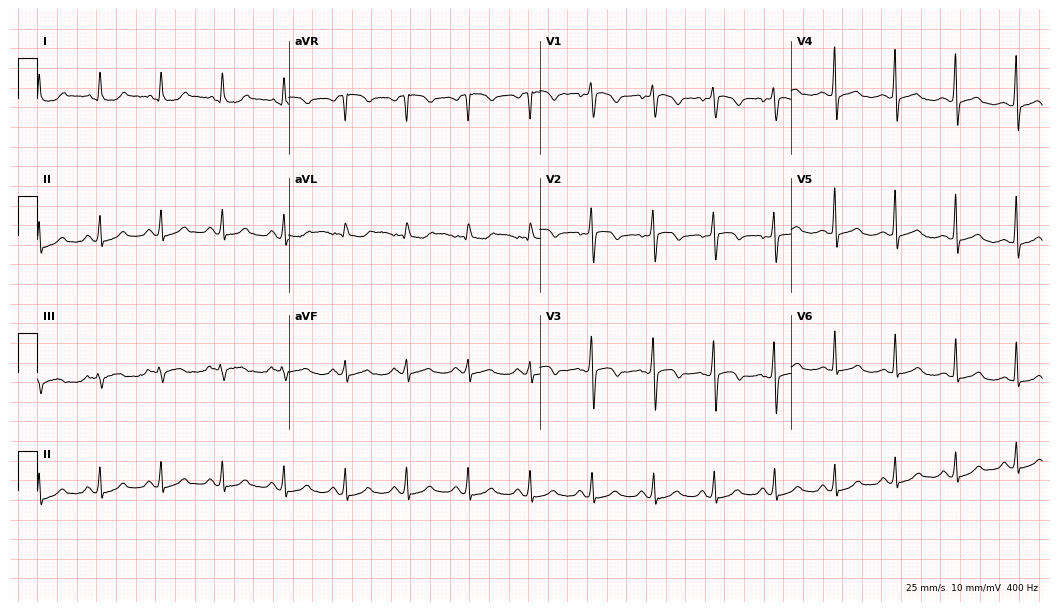
Resting 12-lead electrocardiogram. Patient: a 54-year-old female. None of these six findings is recorded: first-degree AV block, right bundle branch block, left bundle branch block, sinus bradycardia, atrial fibrillation, sinus tachycardia.